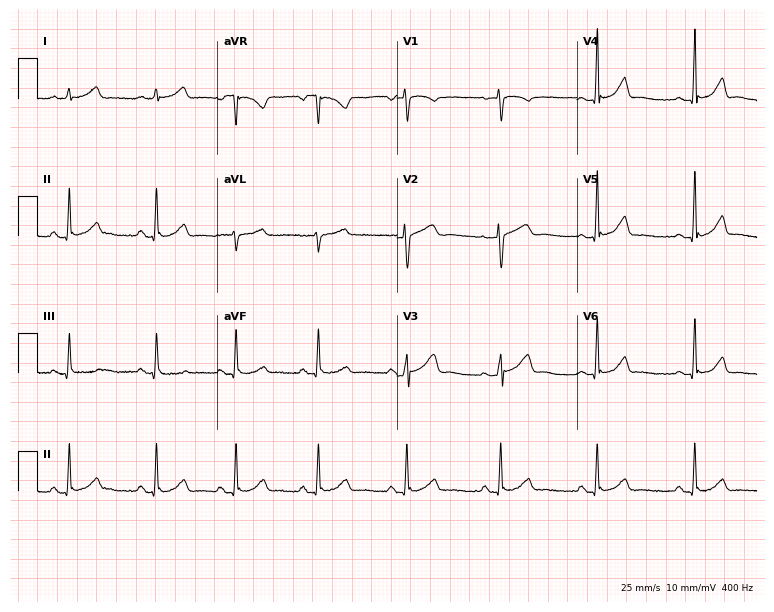
ECG — a female patient, 38 years old. Labelled as a normal ECG.